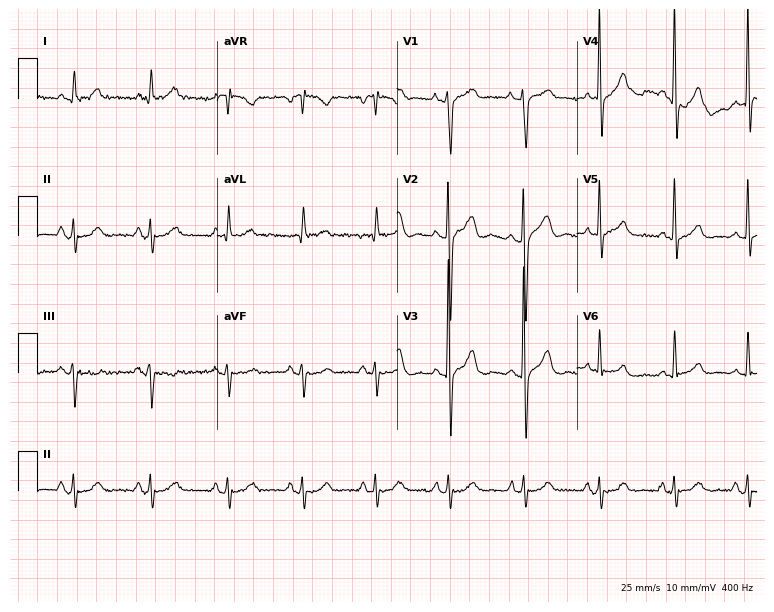
ECG (7.3-second recording at 400 Hz) — a male patient, 51 years old. Labelled as a normal ECG.